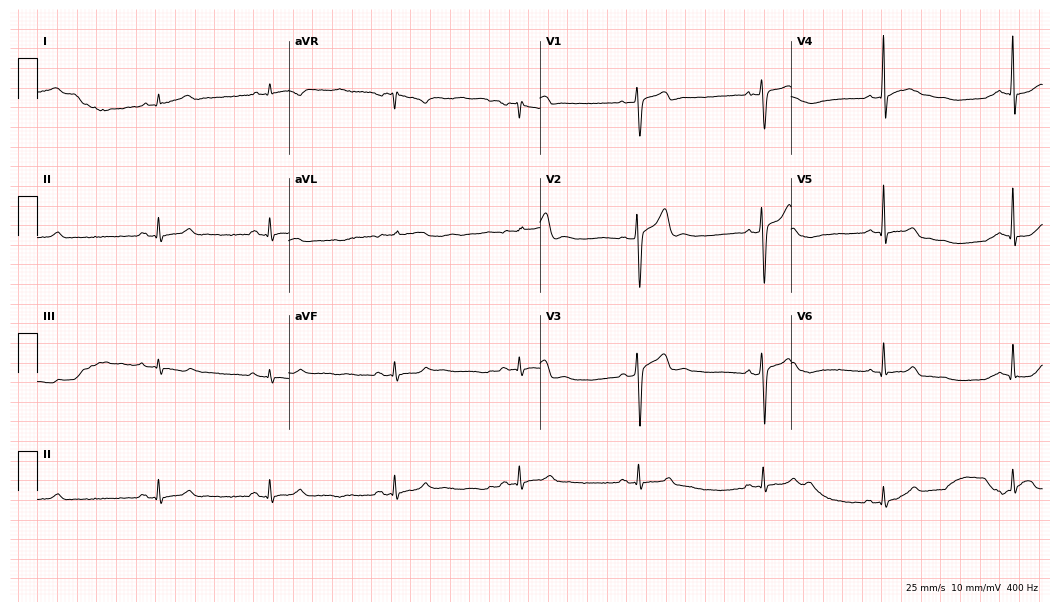
Resting 12-lead electrocardiogram. Patient: a male, 18 years old. Read as a normal ECG.